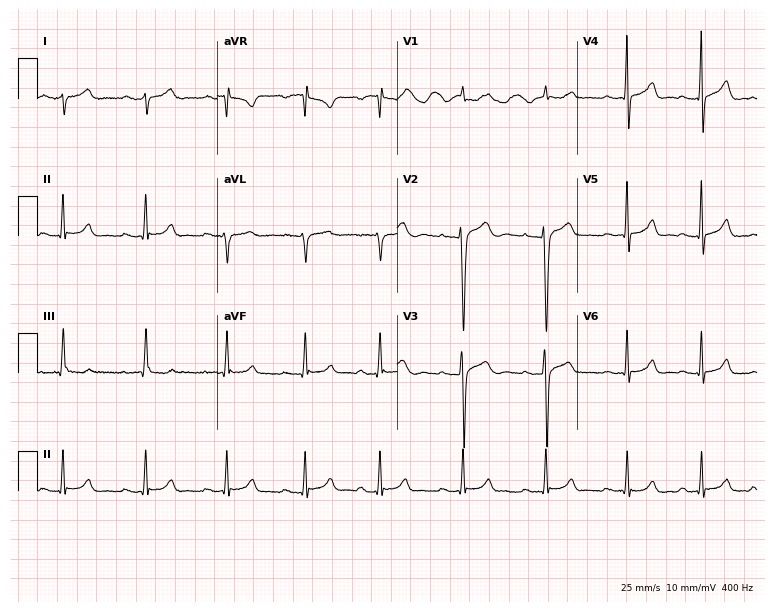
Resting 12-lead electrocardiogram. Patient: a 22-year-old male. None of these six findings is recorded: first-degree AV block, right bundle branch block, left bundle branch block, sinus bradycardia, atrial fibrillation, sinus tachycardia.